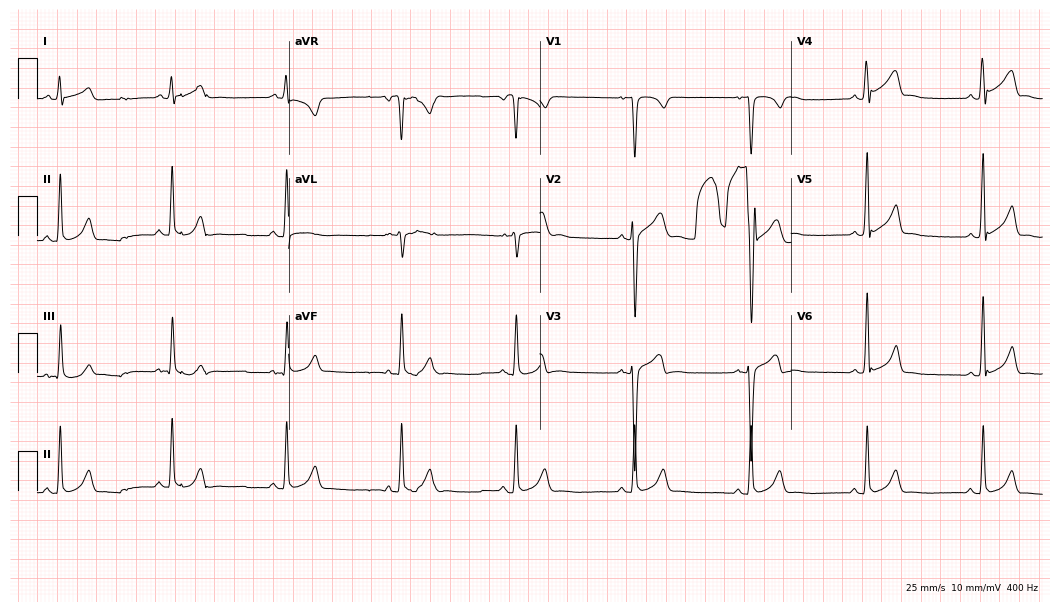
12-lead ECG from a male patient, 22 years old (10.2-second recording at 400 Hz). No first-degree AV block, right bundle branch block, left bundle branch block, sinus bradycardia, atrial fibrillation or sinus tachycardia recorded for this tracing.